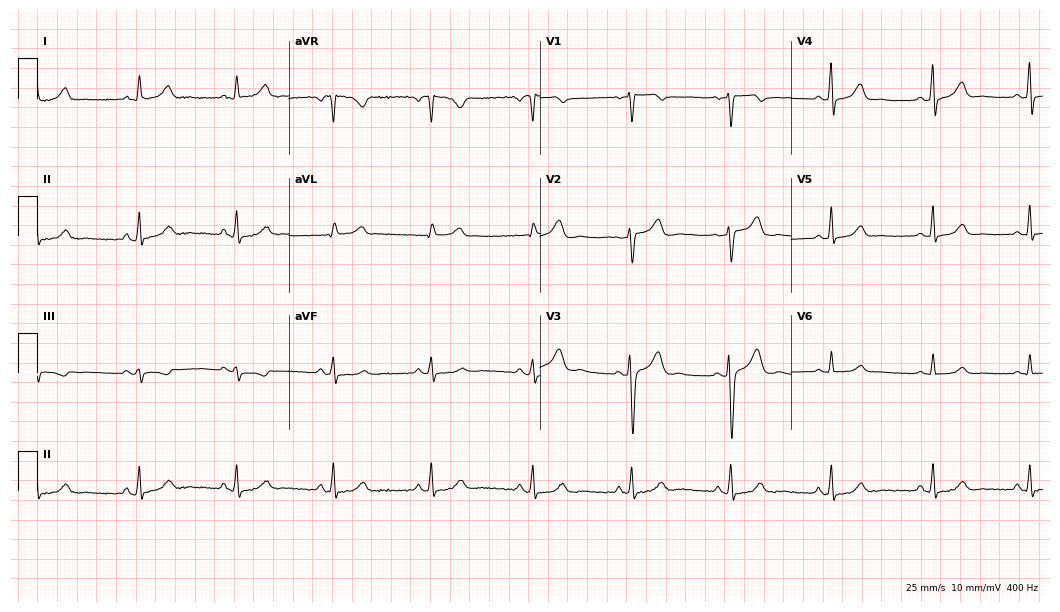
ECG (10.2-second recording at 400 Hz) — a woman, 47 years old. Labelled as a normal ECG.